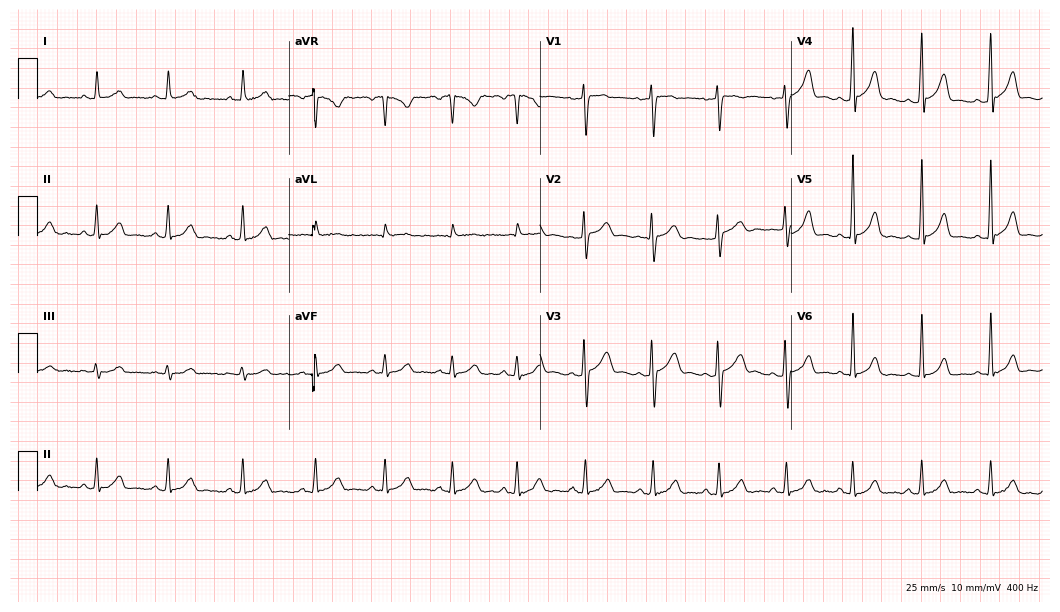
ECG — a woman, 33 years old. Labelled as a normal ECG.